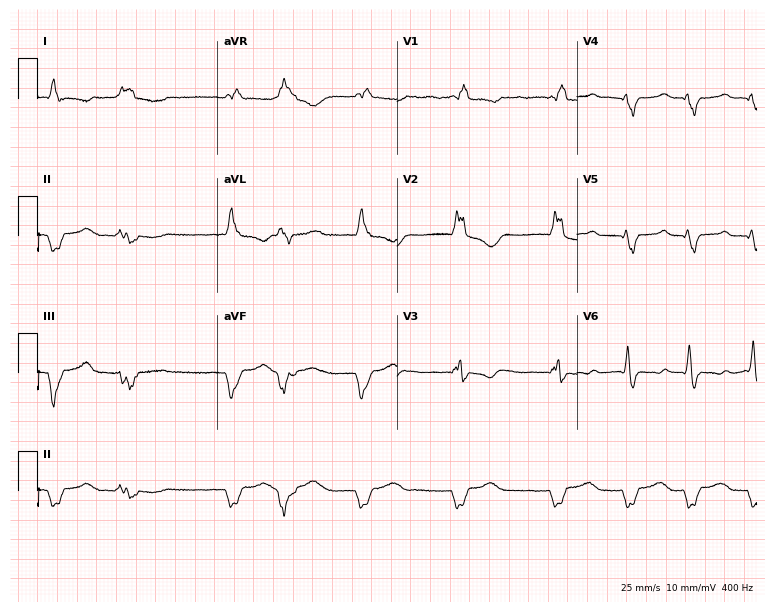
Resting 12-lead electrocardiogram. Patient: a female, 58 years old. None of these six findings is recorded: first-degree AV block, right bundle branch block, left bundle branch block, sinus bradycardia, atrial fibrillation, sinus tachycardia.